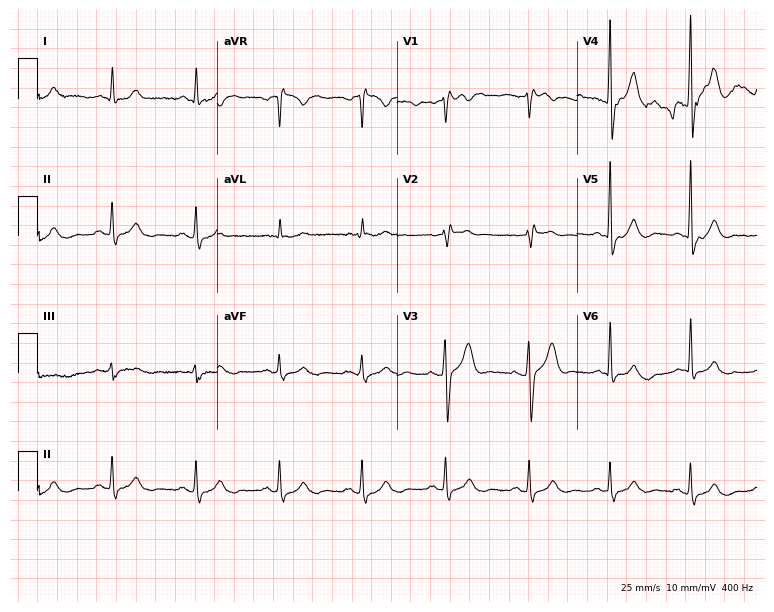
ECG (7.3-second recording at 400 Hz) — a 70-year-old male patient. Screened for six findings — first-degree AV block, right bundle branch block (RBBB), left bundle branch block (LBBB), sinus bradycardia, atrial fibrillation (AF), sinus tachycardia — none is recorded. Other findings, if any, are not listed.